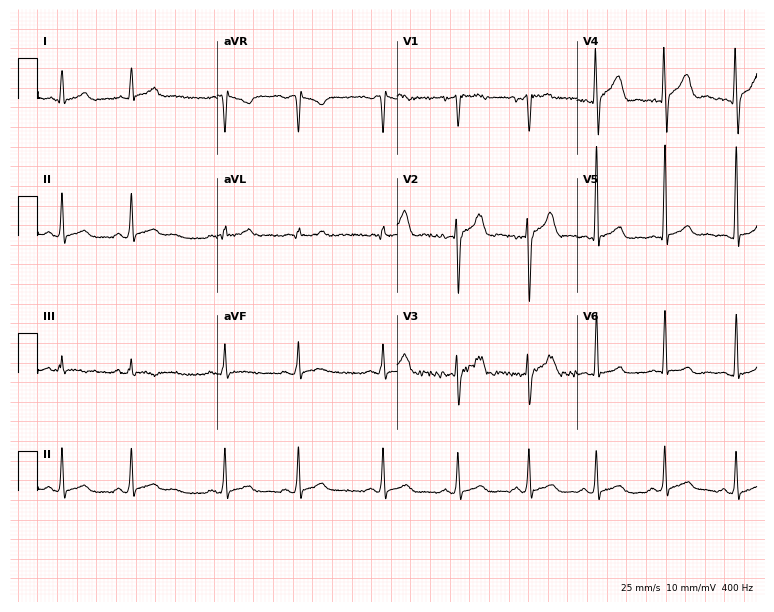
Standard 12-lead ECG recorded from a man, 21 years old. Read as a normal ECG.